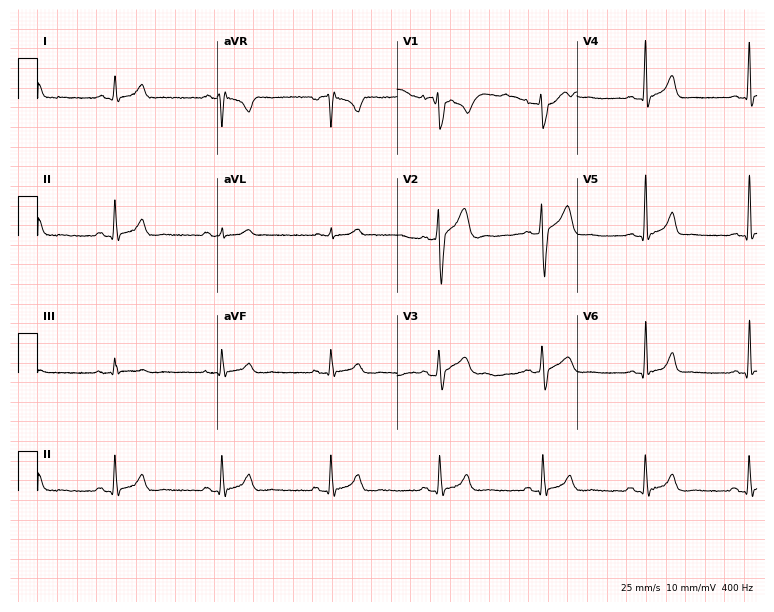
ECG (7.3-second recording at 400 Hz) — a 35-year-old male. Labelled as a normal ECG.